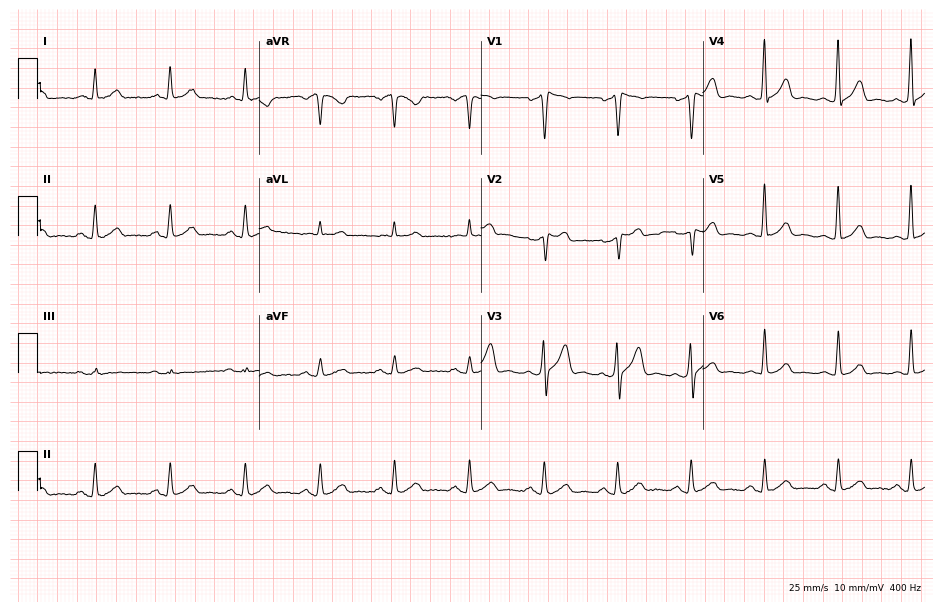
Electrocardiogram, a 47-year-old man. Of the six screened findings (first-degree AV block, right bundle branch block (RBBB), left bundle branch block (LBBB), sinus bradycardia, atrial fibrillation (AF), sinus tachycardia), none is recorded.